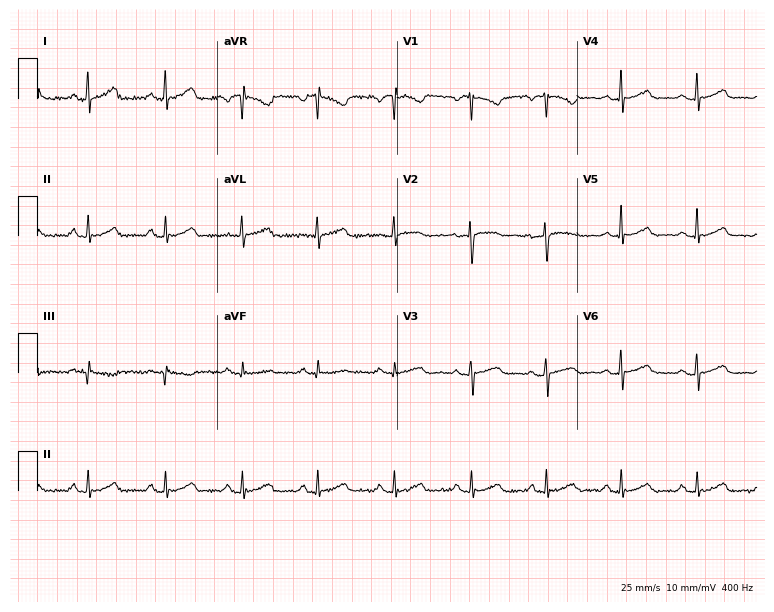
Standard 12-lead ECG recorded from a 37-year-old female. Read as a normal ECG.